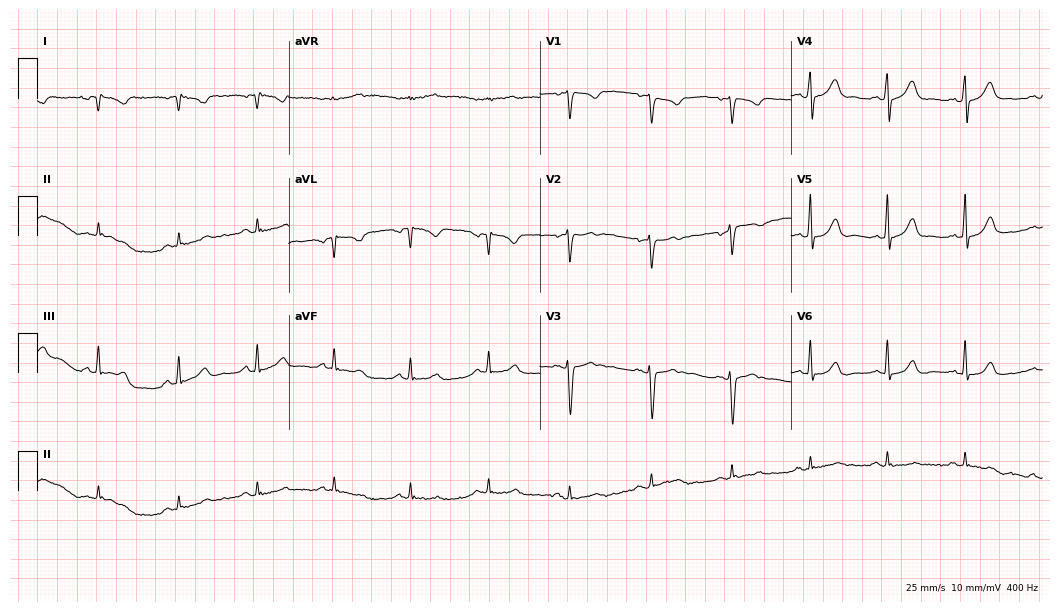
Standard 12-lead ECG recorded from a woman, 24 years old (10.2-second recording at 400 Hz). None of these six findings is recorded: first-degree AV block, right bundle branch block, left bundle branch block, sinus bradycardia, atrial fibrillation, sinus tachycardia.